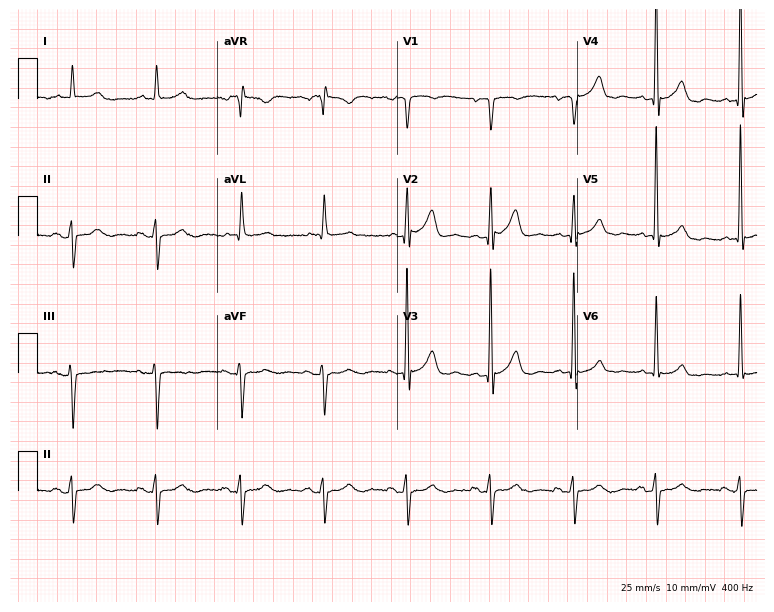
12-lead ECG (7.3-second recording at 400 Hz) from a man, 64 years old. Screened for six findings — first-degree AV block, right bundle branch block, left bundle branch block, sinus bradycardia, atrial fibrillation, sinus tachycardia — none is recorded. Other findings, if any, are not listed.